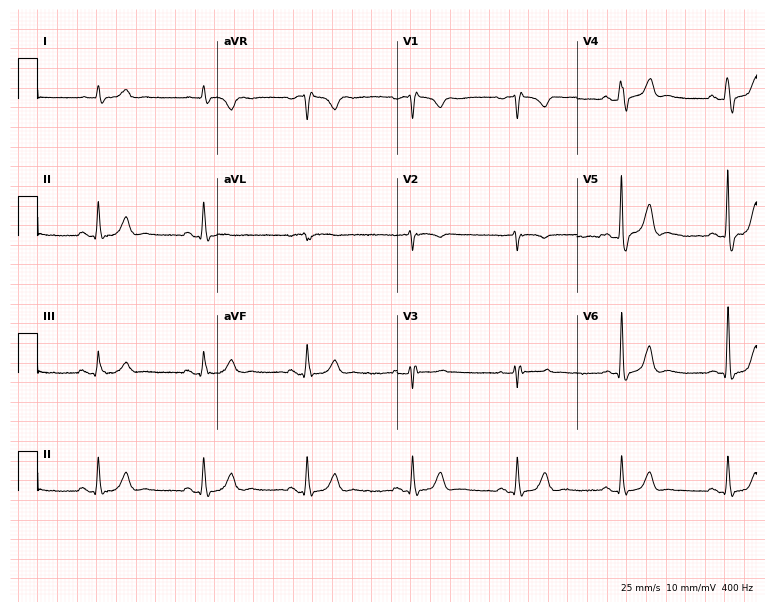
ECG (7.3-second recording at 400 Hz) — a 77-year-old man. Findings include right bundle branch block (RBBB).